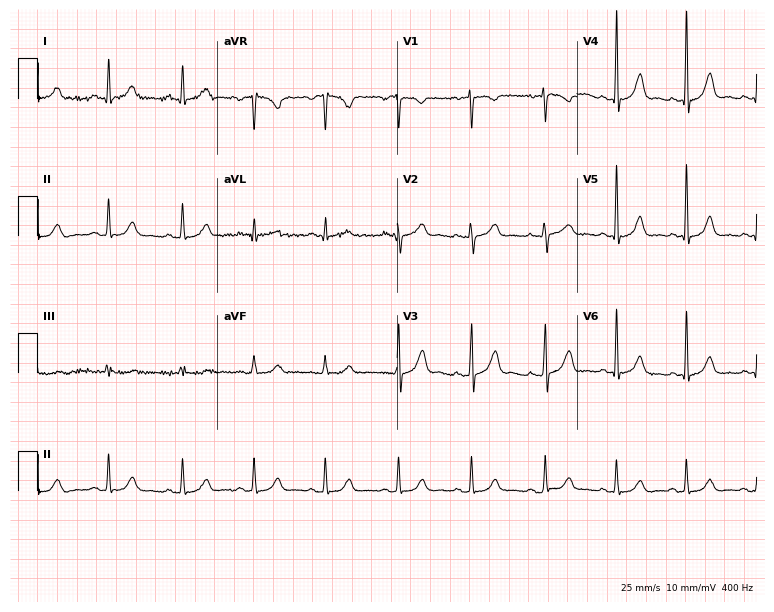
Electrocardiogram (7.3-second recording at 400 Hz), a female patient, 43 years old. Of the six screened findings (first-degree AV block, right bundle branch block (RBBB), left bundle branch block (LBBB), sinus bradycardia, atrial fibrillation (AF), sinus tachycardia), none is recorded.